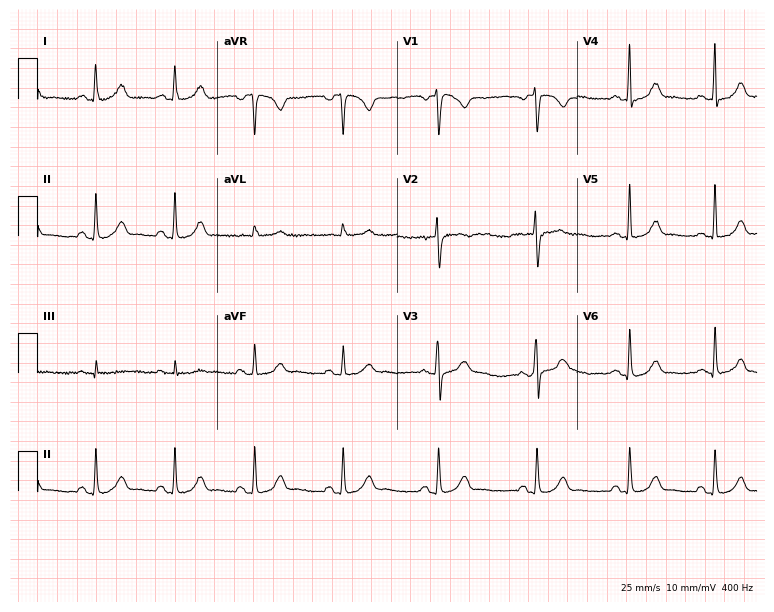
Standard 12-lead ECG recorded from a 31-year-old woman. Read as a normal ECG.